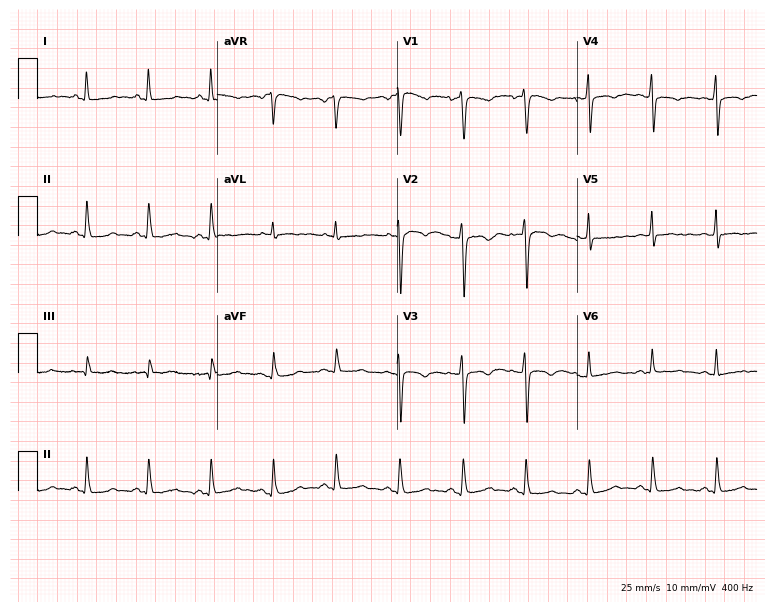
Electrocardiogram, a woman, 48 years old. Of the six screened findings (first-degree AV block, right bundle branch block (RBBB), left bundle branch block (LBBB), sinus bradycardia, atrial fibrillation (AF), sinus tachycardia), none is recorded.